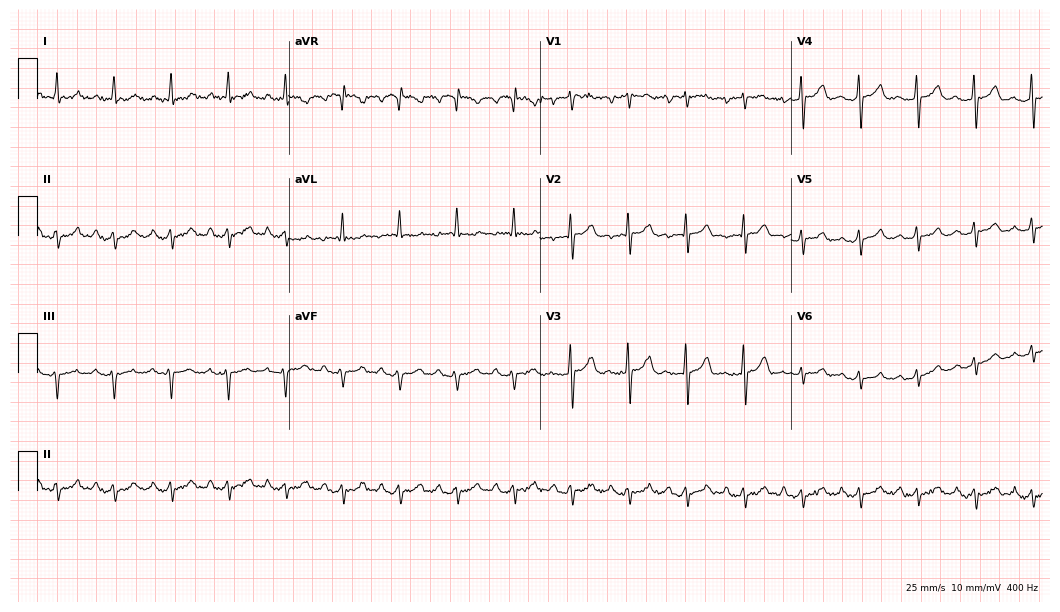
Electrocardiogram (10.2-second recording at 400 Hz), a 56-year-old male. Interpretation includes sinus tachycardia (a sinus rate of 100 beats per minute or more).